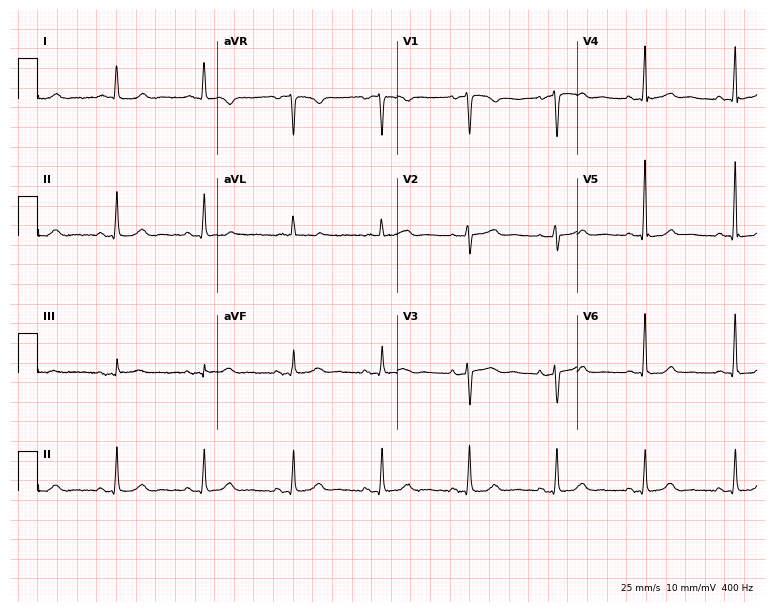
12-lead ECG (7.3-second recording at 400 Hz) from a 73-year-old female. Screened for six findings — first-degree AV block, right bundle branch block, left bundle branch block, sinus bradycardia, atrial fibrillation, sinus tachycardia — none is recorded. Findings outside these six are not listed.